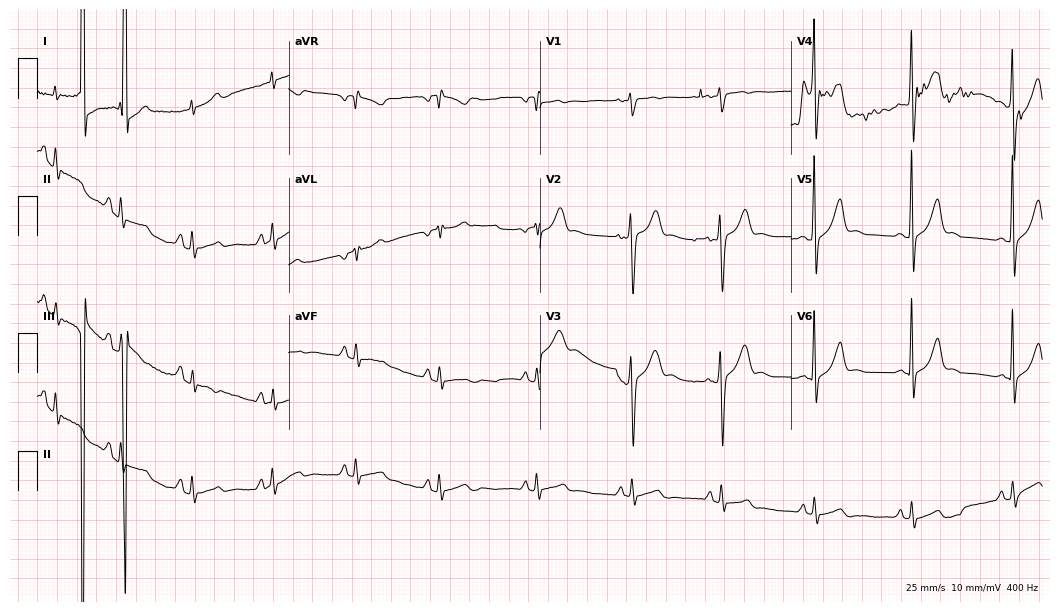
12-lead ECG from a man, 22 years old (10.2-second recording at 400 Hz). Recorded interpretation: within normal limits.